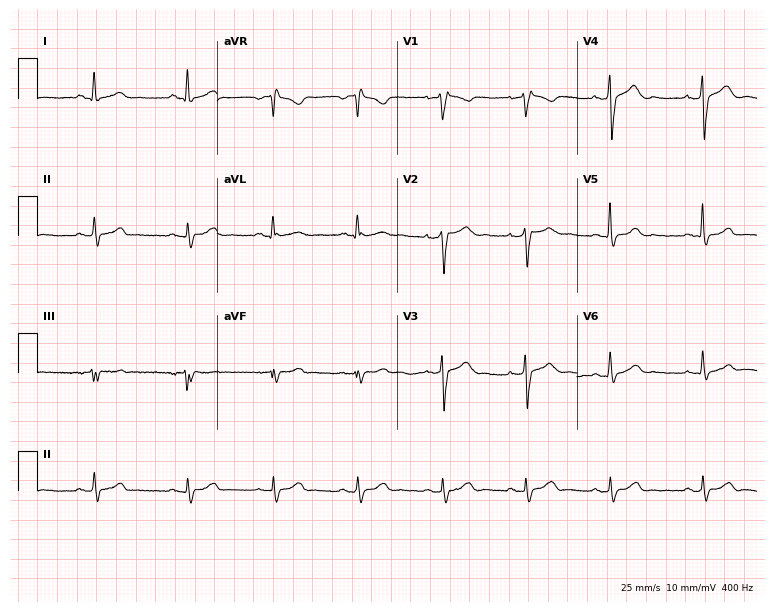
ECG (7.3-second recording at 400 Hz) — a 29-year-old male patient. Screened for six findings — first-degree AV block, right bundle branch block, left bundle branch block, sinus bradycardia, atrial fibrillation, sinus tachycardia — none is recorded. Findings outside these six are not listed.